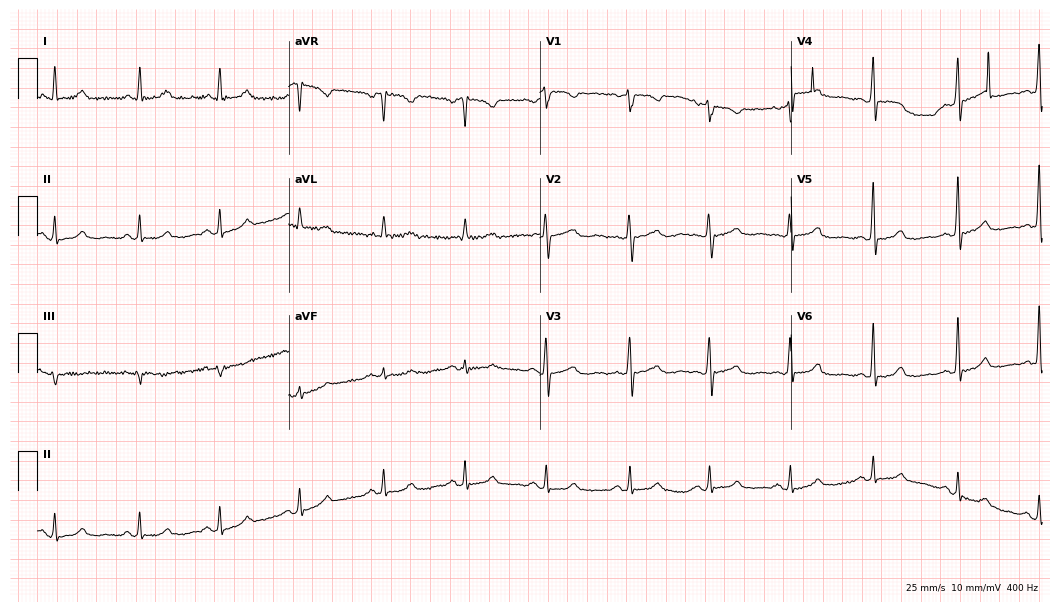
Resting 12-lead electrocardiogram (10.2-second recording at 400 Hz). Patient: a 59-year-old female. None of these six findings is recorded: first-degree AV block, right bundle branch block (RBBB), left bundle branch block (LBBB), sinus bradycardia, atrial fibrillation (AF), sinus tachycardia.